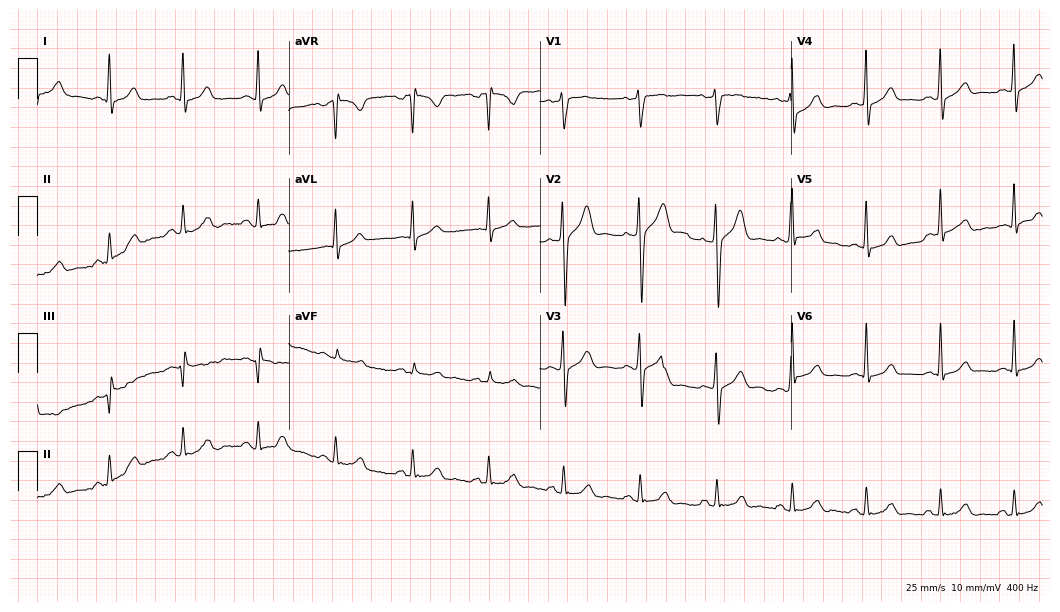
Standard 12-lead ECG recorded from a female, 38 years old (10.2-second recording at 400 Hz). None of these six findings is recorded: first-degree AV block, right bundle branch block, left bundle branch block, sinus bradycardia, atrial fibrillation, sinus tachycardia.